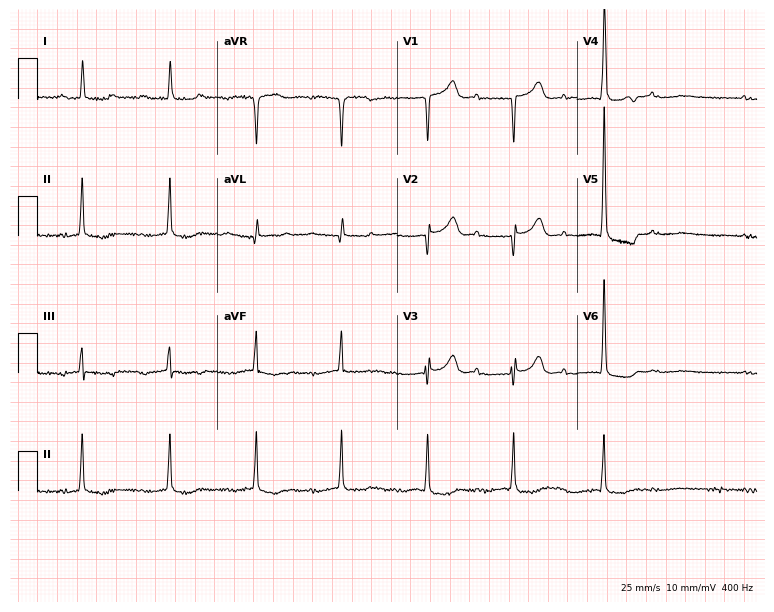
12-lead ECG from a 78-year-old female patient. Shows first-degree AV block.